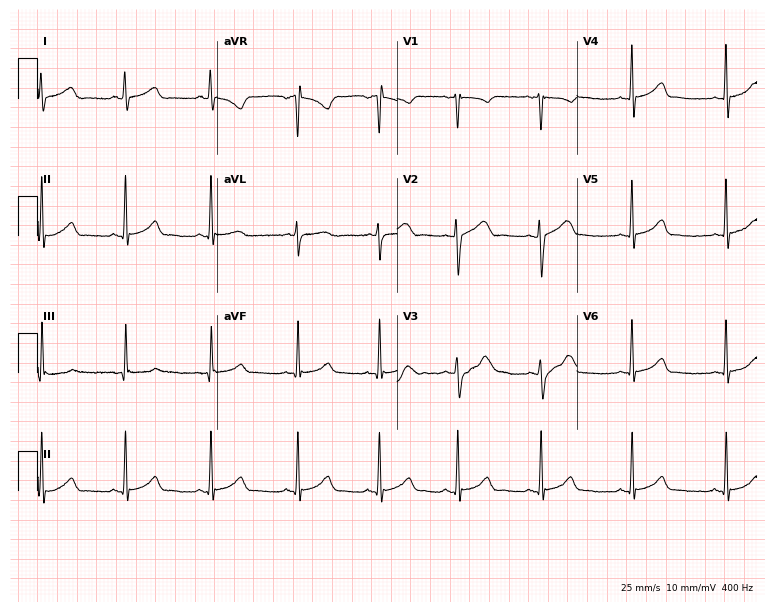
Electrocardiogram (7.3-second recording at 400 Hz), an 18-year-old woman. Overall reading on record: normal ECG.